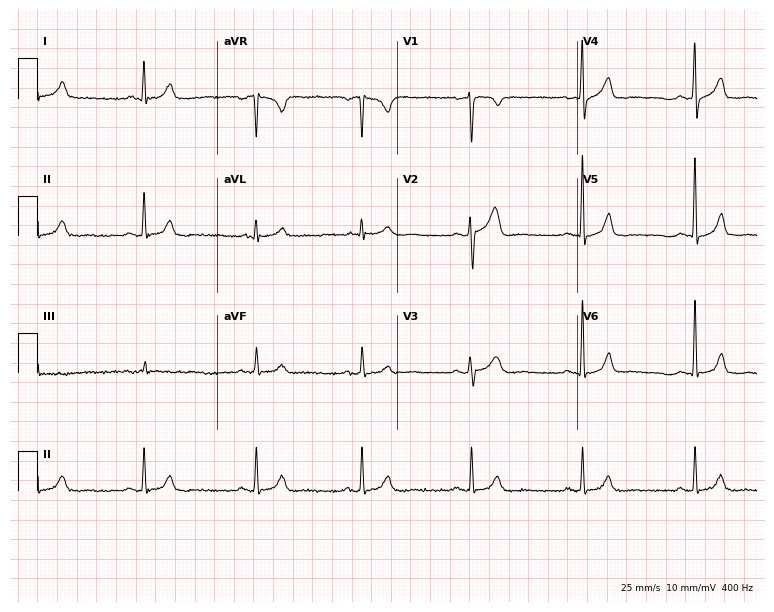
ECG — a 33-year-old male patient. Labelled as a normal ECG.